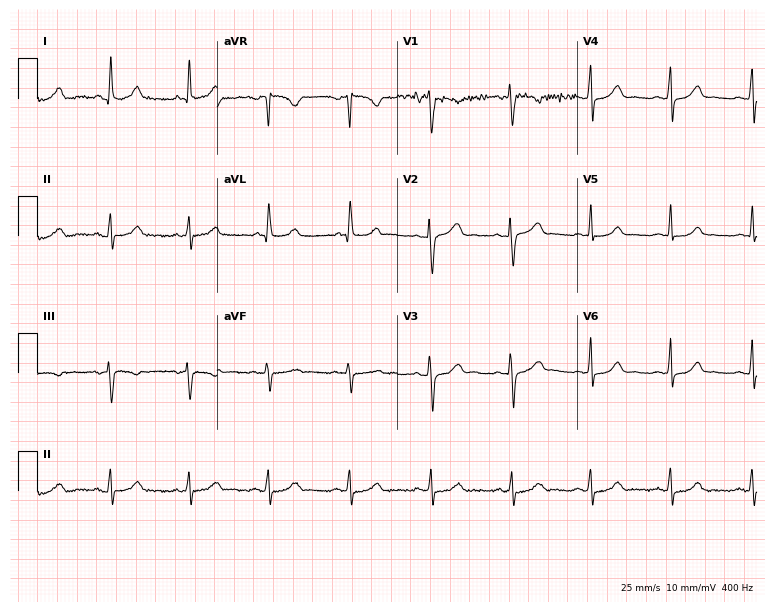
Standard 12-lead ECG recorded from a female, 42 years old (7.3-second recording at 400 Hz). None of these six findings is recorded: first-degree AV block, right bundle branch block, left bundle branch block, sinus bradycardia, atrial fibrillation, sinus tachycardia. Only these six findings were labelled.